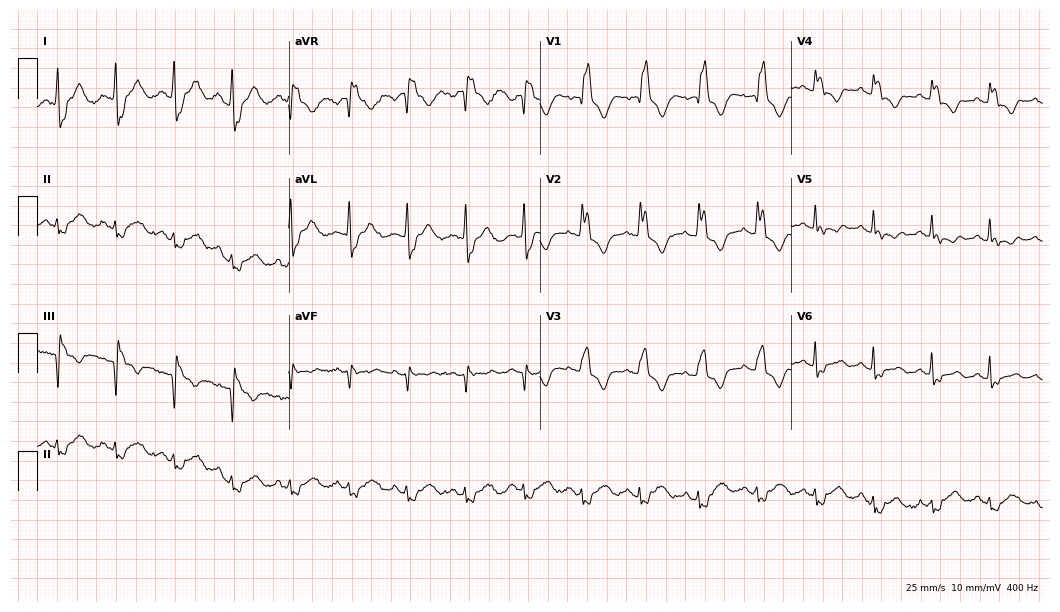
12-lead ECG from a woman, 79 years old. Shows sinus tachycardia (a sinus rate of 100 beats per minute or more).